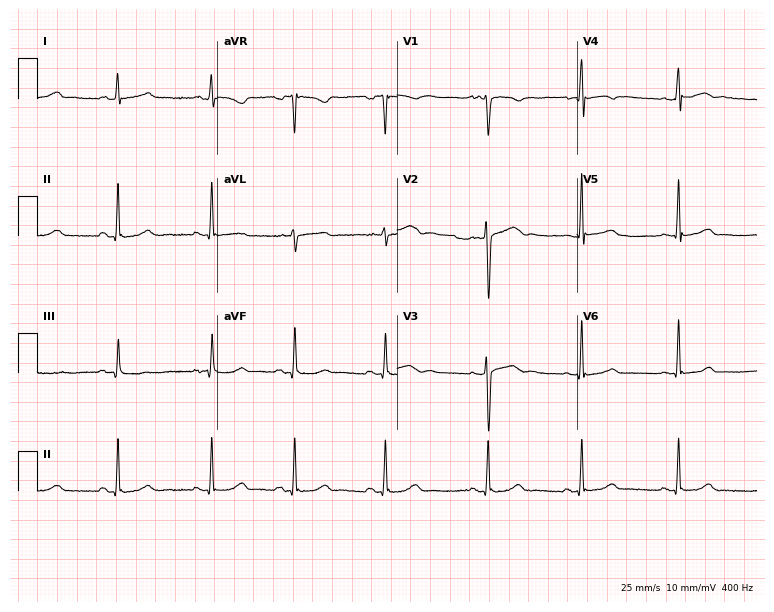
Standard 12-lead ECG recorded from a 26-year-old woman (7.3-second recording at 400 Hz). Read as a normal ECG.